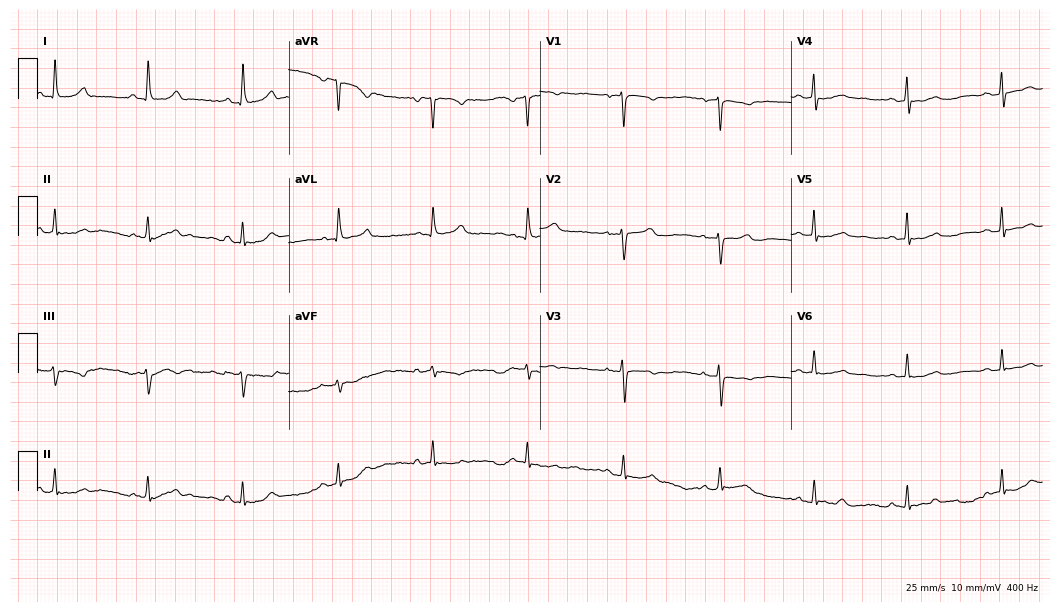
12-lead ECG from a woman, 67 years old. Recorded interpretation: within normal limits.